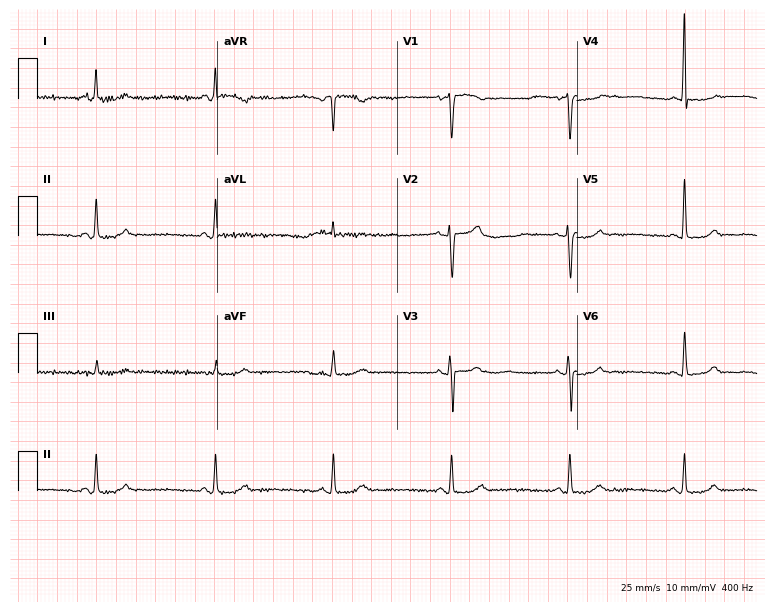
Resting 12-lead electrocardiogram (7.3-second recording at 400 Hz). Patient: a 55-year-old woman. The tracing shows sinus bradycardia (a sinus rate of 50 beats per minute or less).